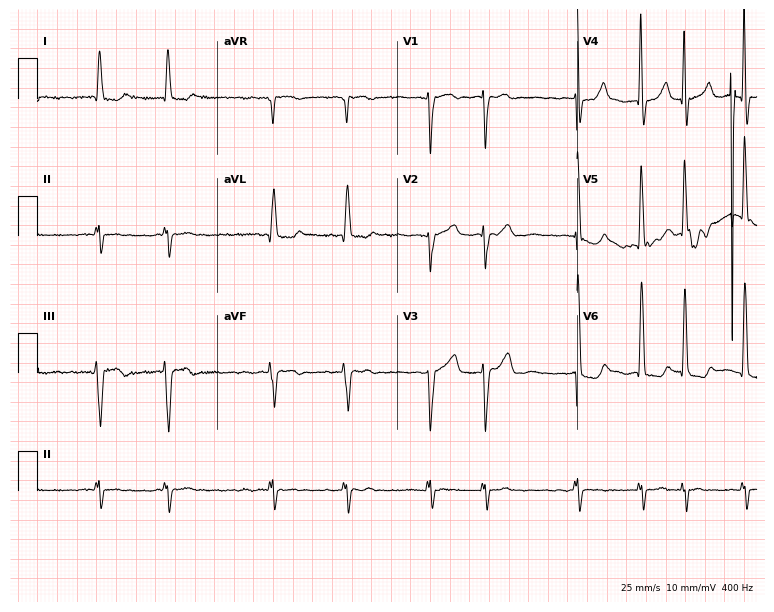
Electrocardiogram (7.3-second recording at 400 Hz), an 83-year-old female patient. Interpretation includes atrial fibrillation (AF).